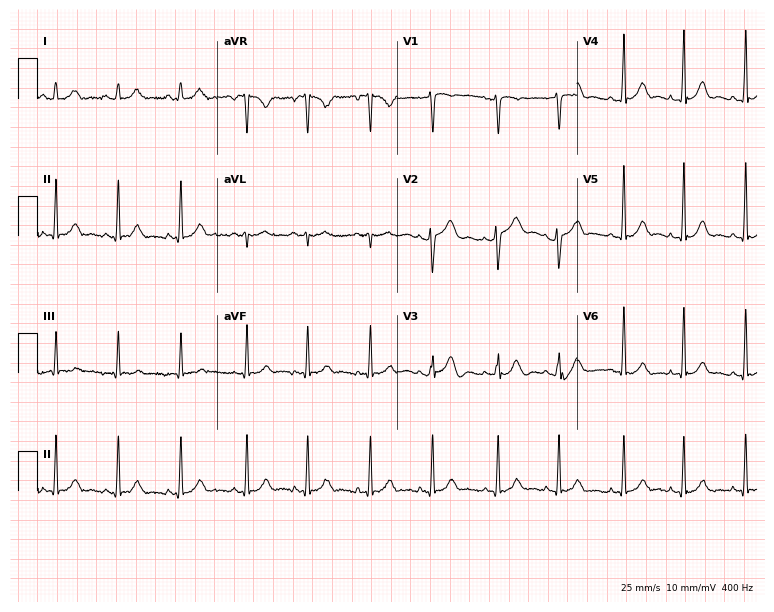
Standard 12-lead ECG recorded from a female patient, 47 years old. Read as a normal ECG.